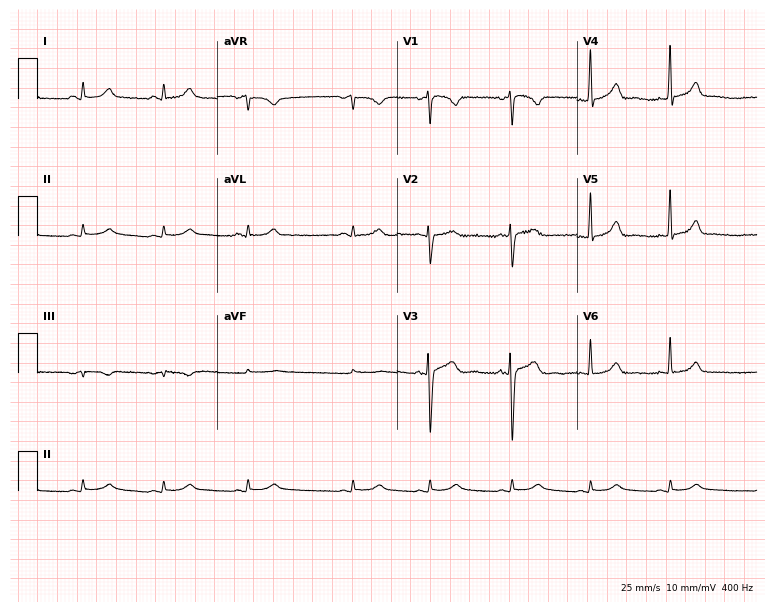
ECG — a female, 22 years old. Labelled as a normal ECG.